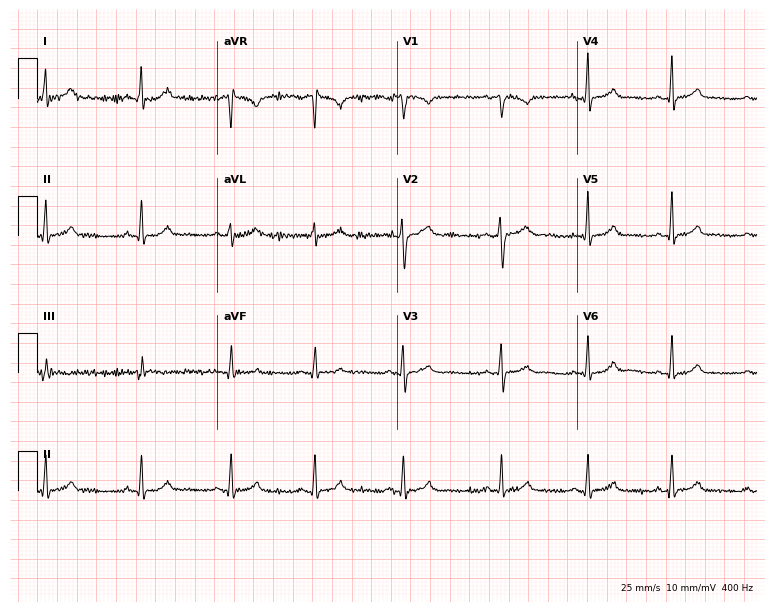
Electrocardiogram, a woman, 28 years old. Overall reading on record: normal ECG.